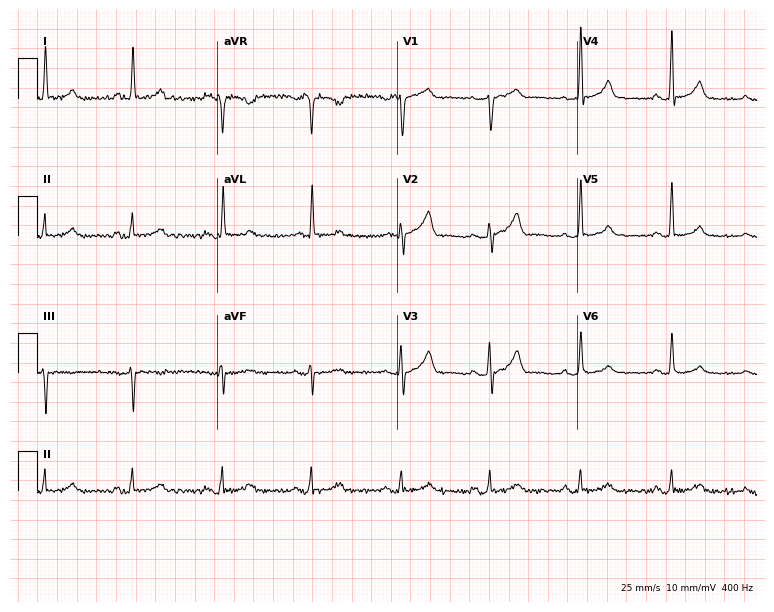
Standard 12-lead ECG recorded from a 78-year-old woman. Read as a normal ECG.